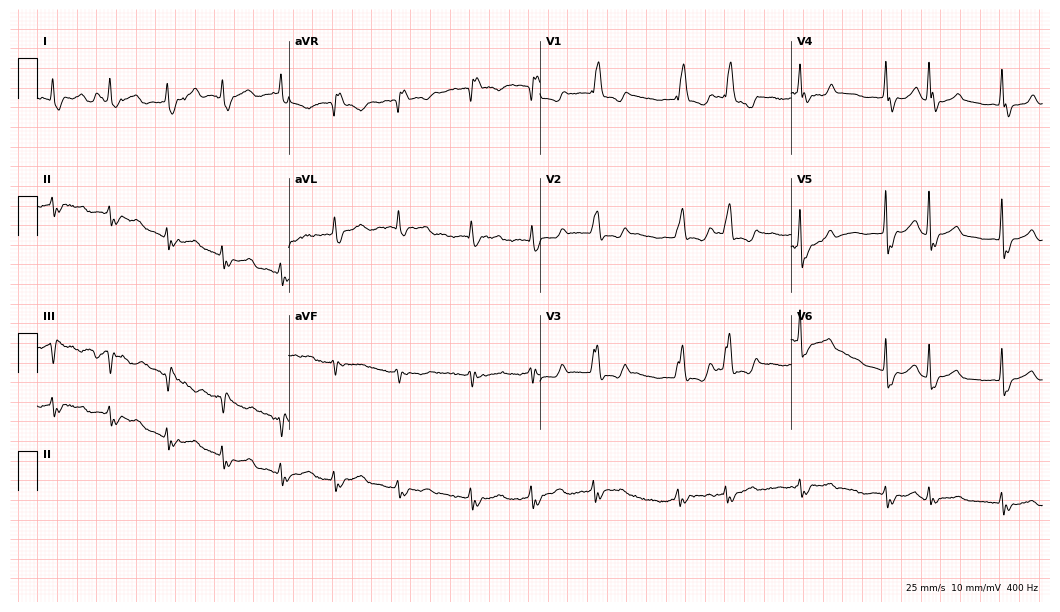
ECG (10.2-second recording at 400 Hz) — a 76-year-old female. Findings include right bundle branch block, atrial fibrillation.